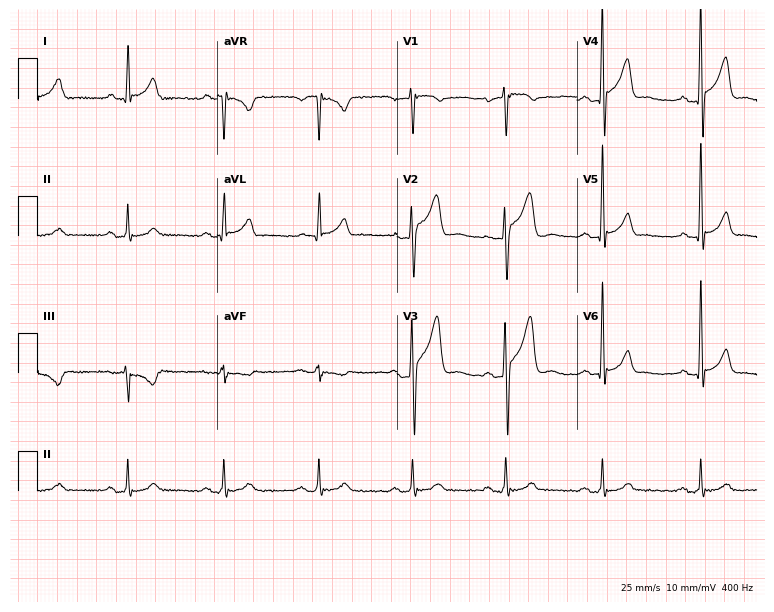
ECG (7.3-second recording at 400 Hz) — a 49-year-old male. Screened for six findings — first-degree AV block, right bundle branch block, left bundle branch block, sinus bradycardia, atrial fibrillation, sinus tachycardia — none is recorded.